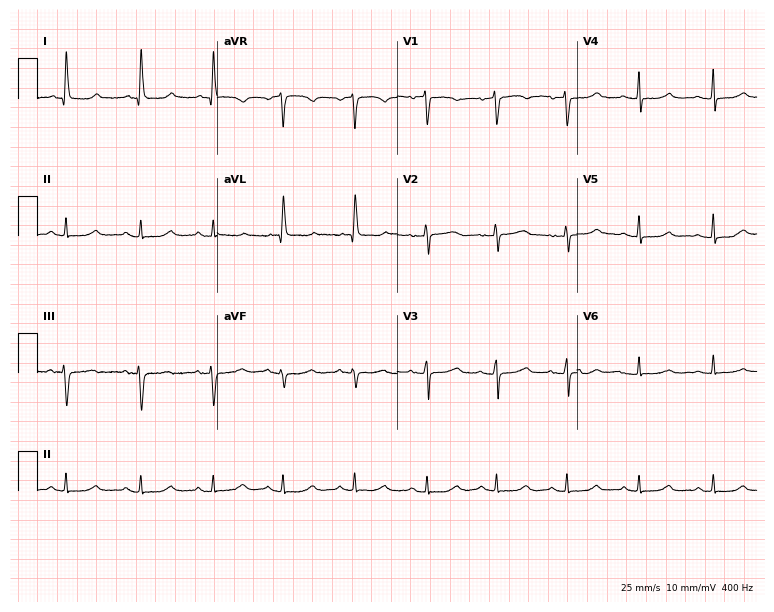
Standard 12-lead ECG recorded from a 71-year-old female. Read as a normal ECG.